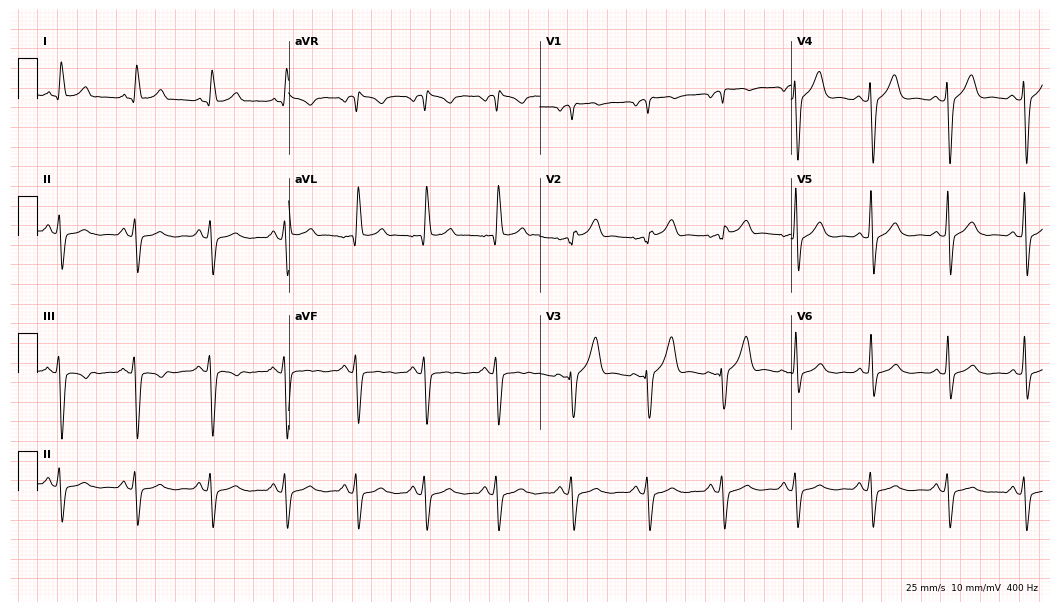
Electrocardiogram, a man, 58 years old. Of the six screened findings (first-degree AV block, right bundle branch block, left bundle branch block, sinus bradycardia, atrial fibrillation, sinus tachycardia), none is recorded.